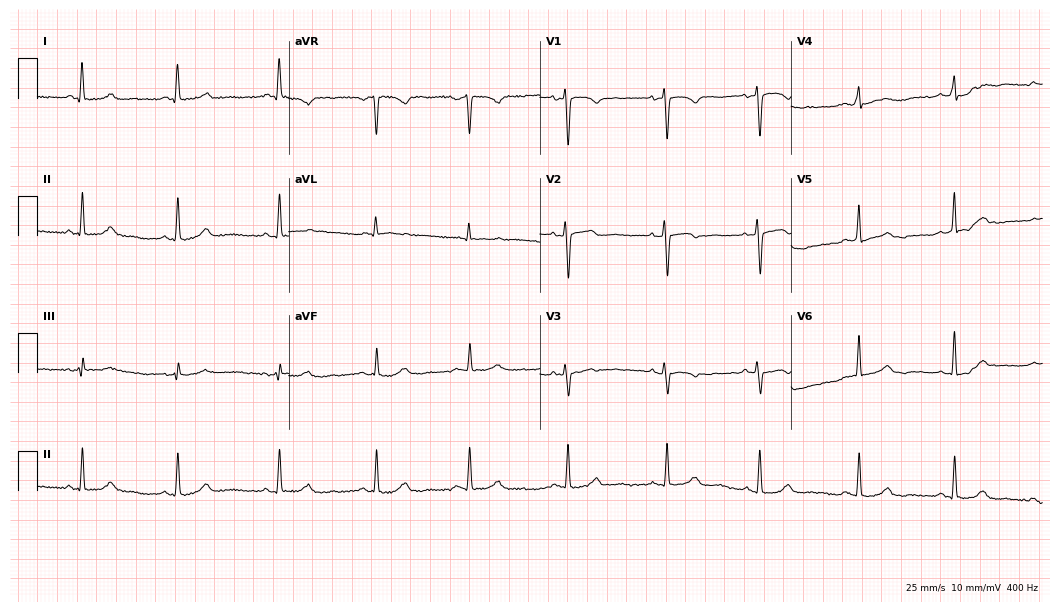
12-lead ECG from a female, 48 years old. No first-degree AV block, right bundle branch block (RBBB), left bundle branch block (LBBB), sinus bradycardia, atrial fibrillation (AF) or sinus tachycardia recorded for this tracing. Findings outside these six are not listed.